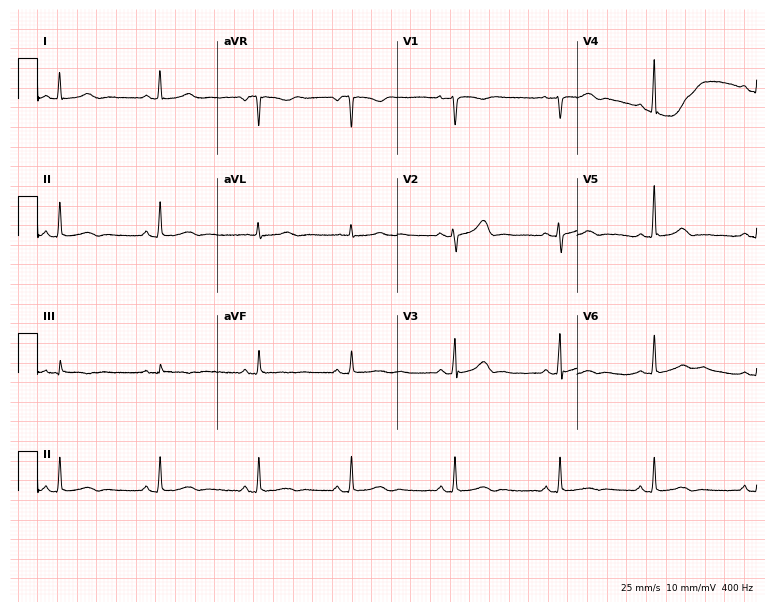
ECG — a female patient, 32 years old. Labelled as a normal ECG.